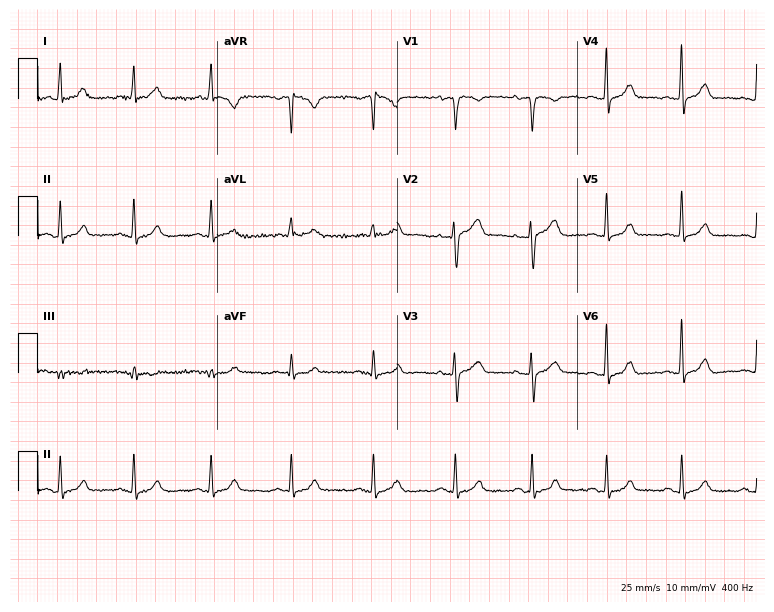
ECG (7.3-second recording at 400 Hz) — a female patient, 59 years old. Labelled as a normal ECG.